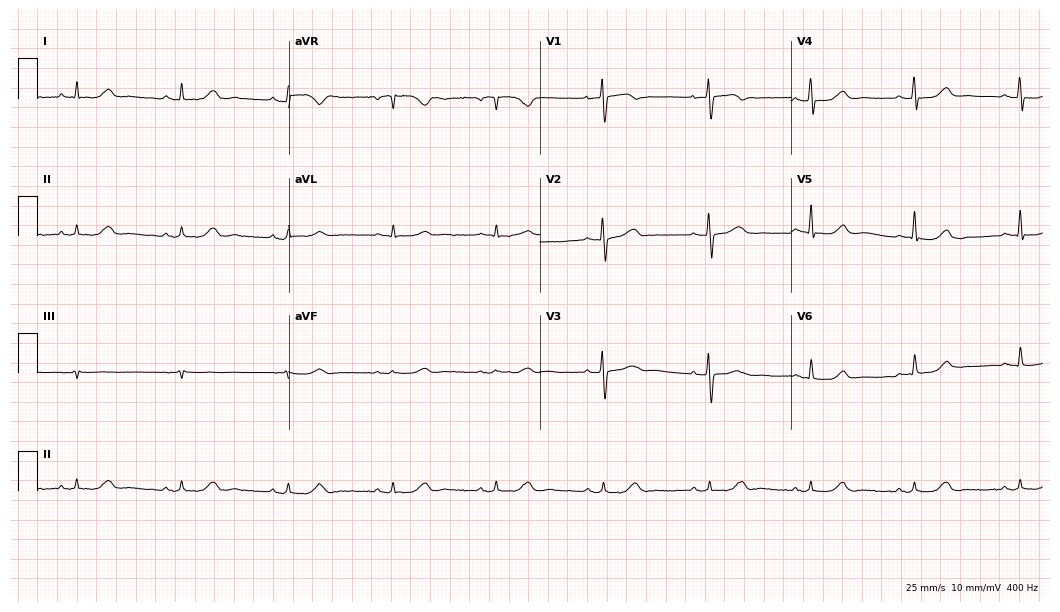
Resting 12-lead electrocardiogram (10.2-second recording at 400 Hz). Patient: a female, 71 years old. None of these six findings is recorded: first-degree AV block, right bundle branch block, left bundle branch block, sinus bradycardia, atrial fibrillation, sinus tachycardia. Other findings, if any, are not listed.